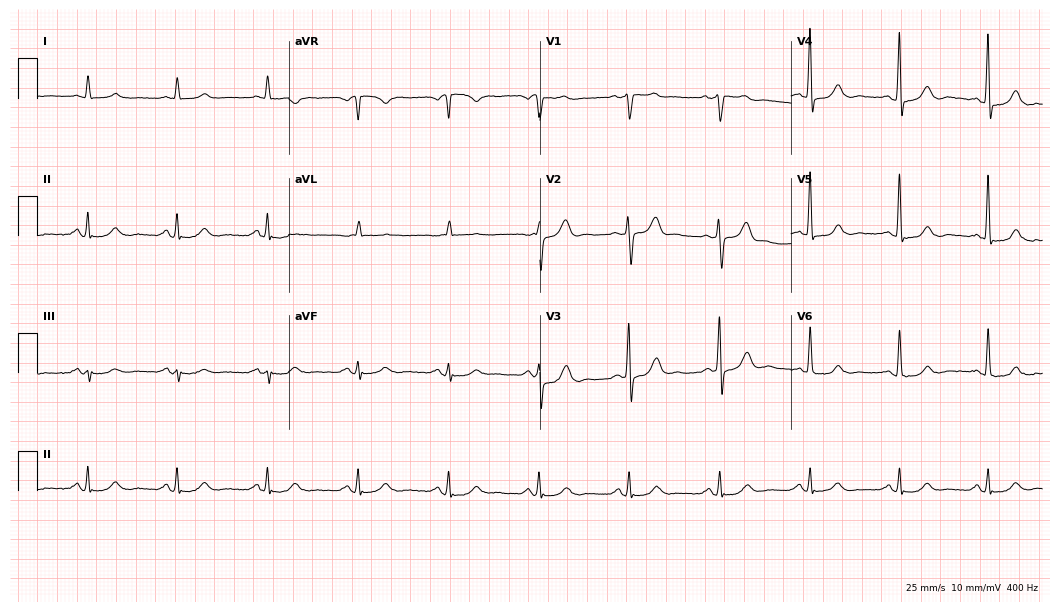
Resting 12-lead electrocardiogram (10.2-second recording at 400 Hz). Patient: a male, 72 years old. None of these six findings is recorded: first-degree AV block, right bundle branch block, left bundle branch block, sinus bradycardia, atrial fibrillation, sinus tachycardia.